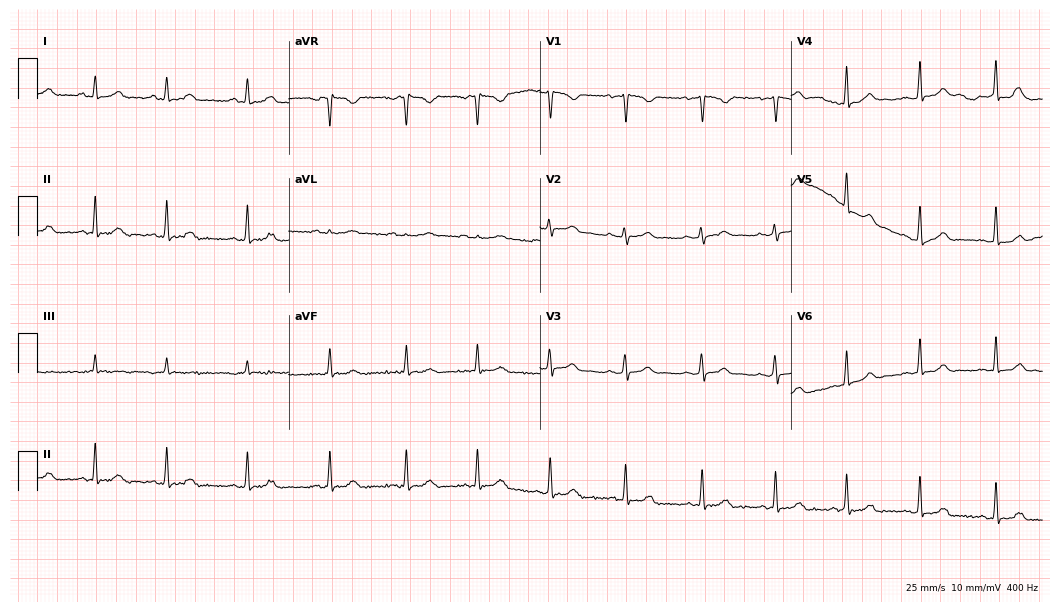
12-lead ECG (10.2-second recording at 400 Hz) from a female, 18 years old. Labelled as a normal ECG.